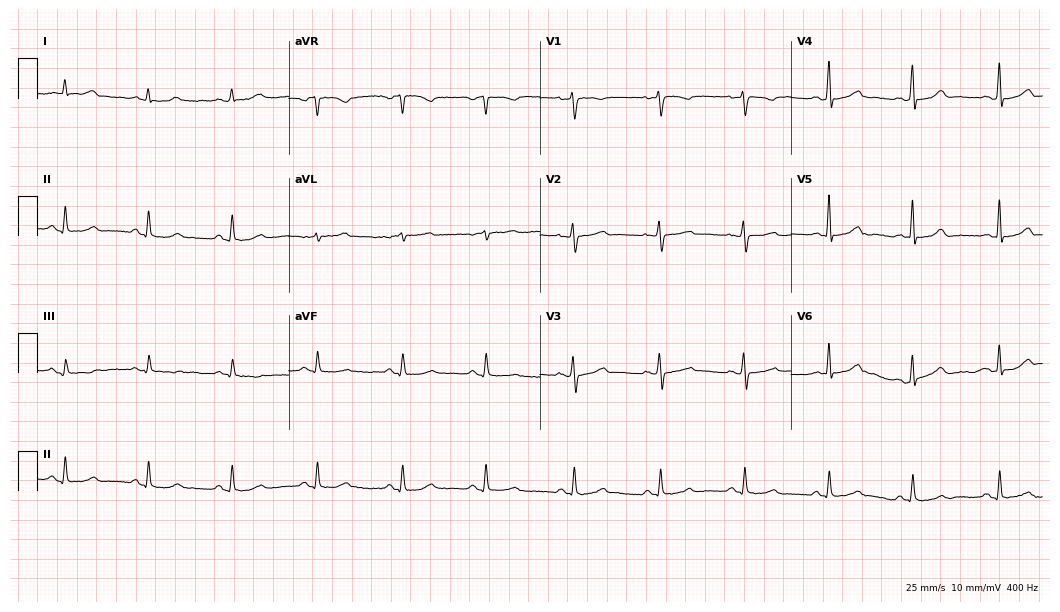
12-lead ECG from a 52-year-old female patient. Recorded interpretation: within normal limits.